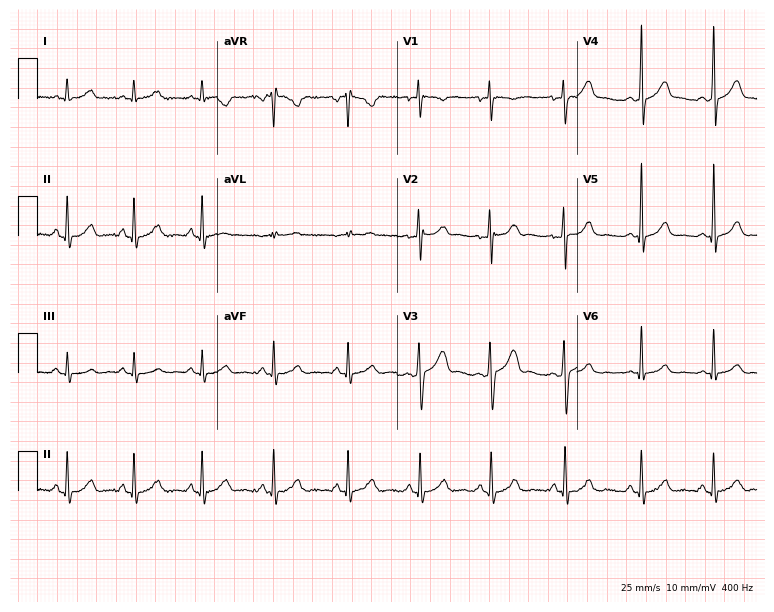
Electrocardiogram (7.3-second recording at 400 Hz), a male, 27 years old. Overall reading on record: normal ECG.